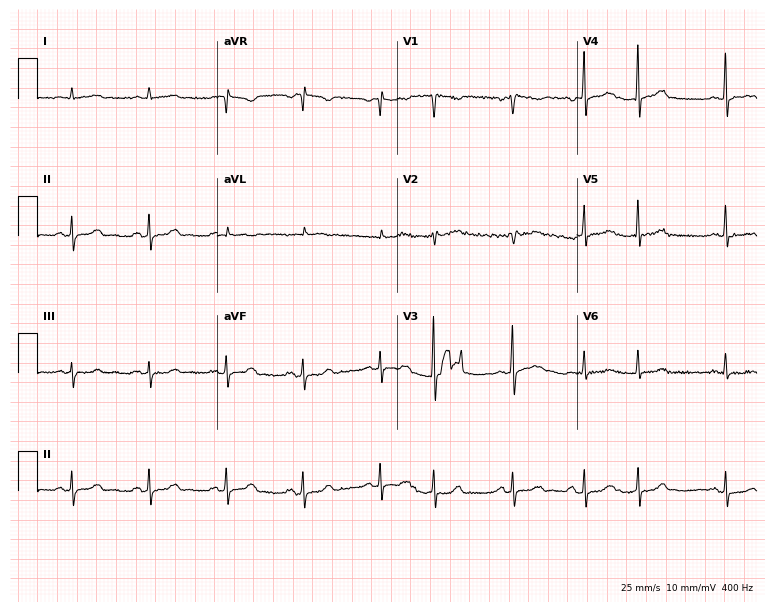
ECG — a female, 51 years old. Screened for six findings — first-degree AV block, right bundle branch block (RBBB), left bundle branch block (LBBB), sinus bradycardia, atrial fibrillation (AF), sinus tachycardia — none is recorded.